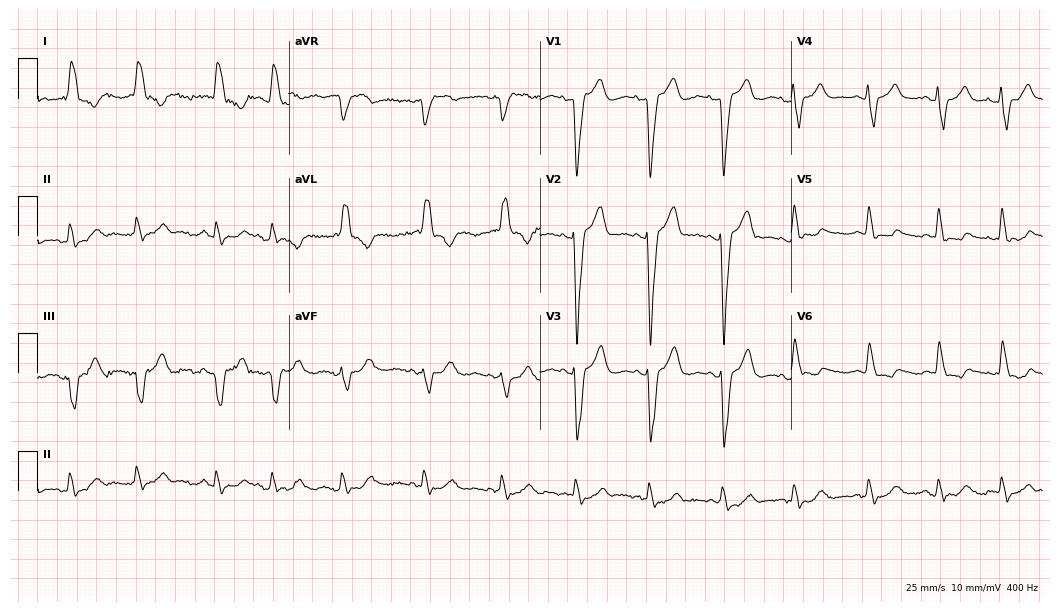
Resting 12-lead electrocardiogram. Patient: an 84-year-old woman. The tracing shows left bundle branch block (LBBB).